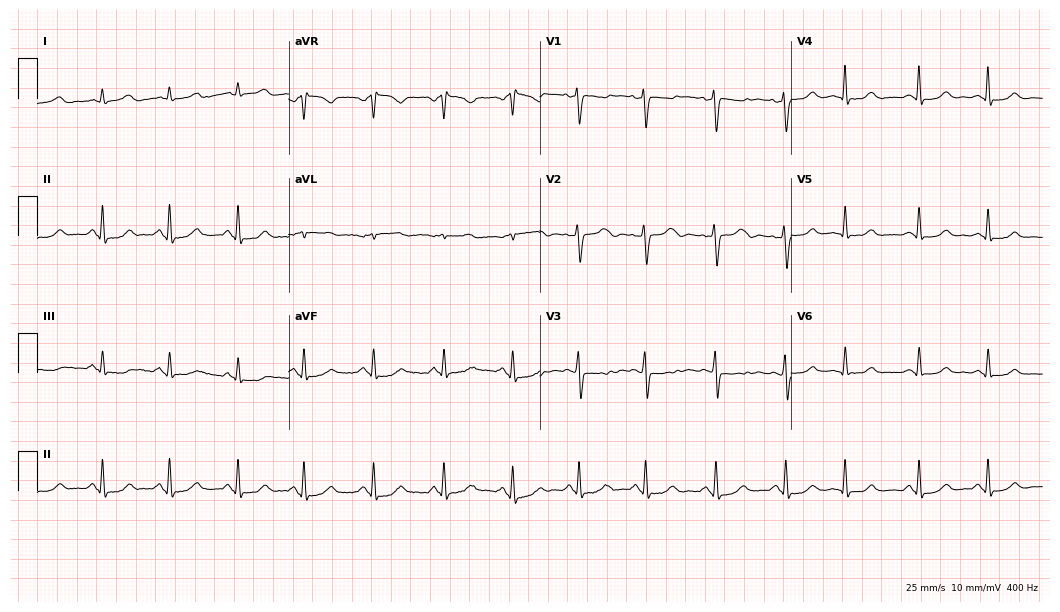
12-lead ECG from a female, 45 years old (10.2-second recording at 400 Hz). No first-degree AV block, right bundle branch block, left bundle branch block, sinus bradycardia, atrial fibrillation or sinus tachycardia recorded for this tracing. Only these six findings were labelled.